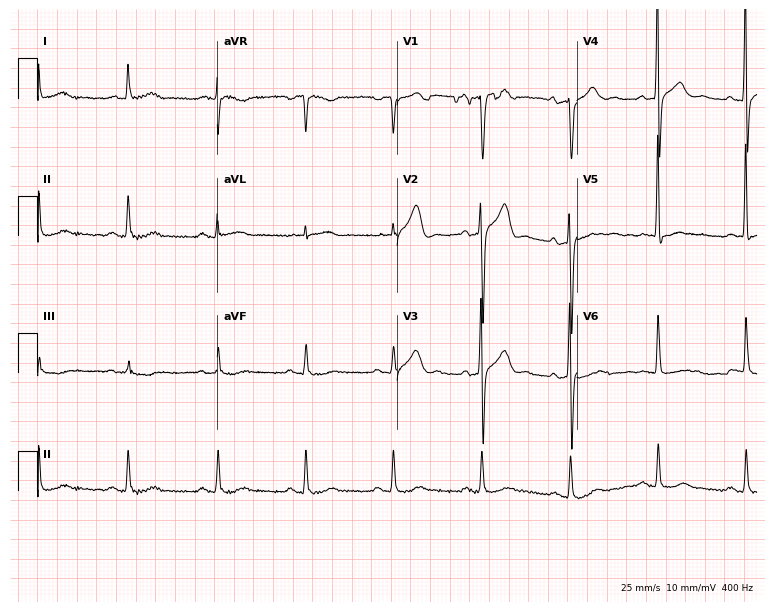
Electrocardiogram, a man, 70 years old. Of the six screened findings (first-degree AV block, right bundle branch block, left bundle branch block, sinus bradycardia, atrial fibrillation, sinus tachycardia), none is recorded.